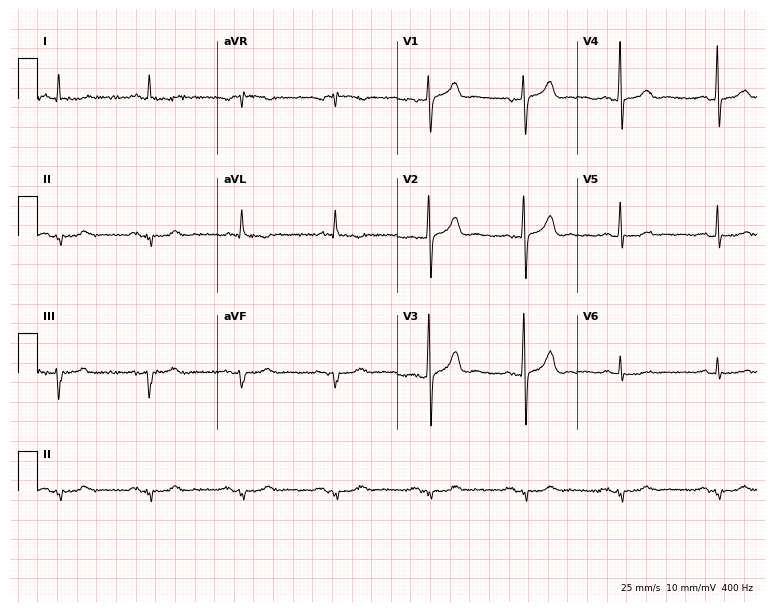
Resting 12-lead electrocardiogram. Patient: an 82-year-old male. None of these six findings is recorded: first-degree AV block, right bundle branch block, left bundle branch block, sinus bradycardia, atrial fibrillation, sinus tachycardia.